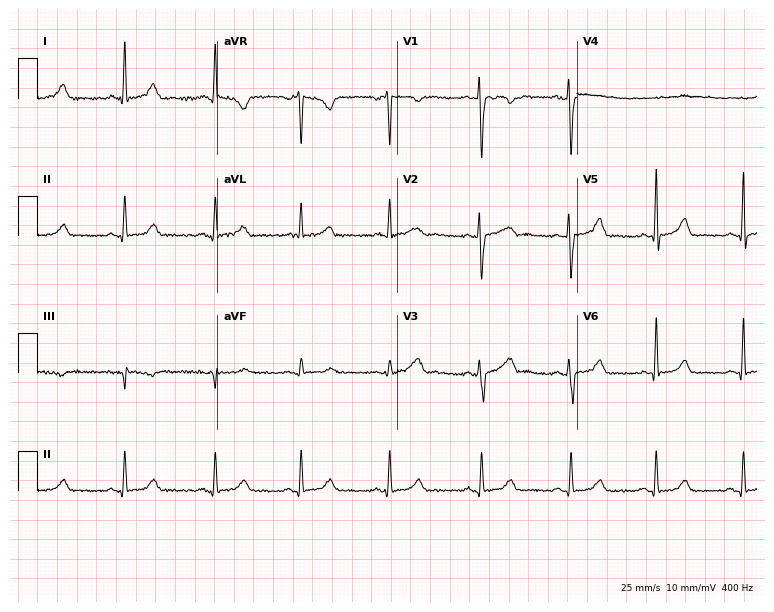
12-lead ECG from a 36-year-old woman. No first-degree AV block, right bundle branch block (RBBB), left bundle branch block (LBBB), sinus bradycardia, atrial fibrillation (AF) or sinus tachycardia recorded for this tracing.